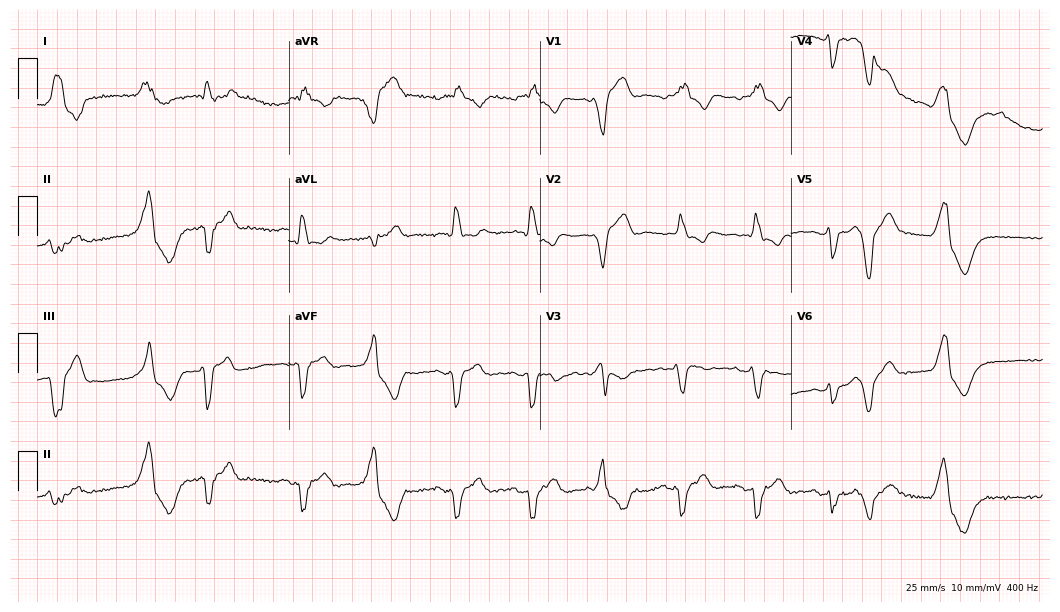
Standard 12-lead ECG recorded from a man, 71 years old (10.2-second recording at 400 Hz). The tracing shows right bundle branch block.